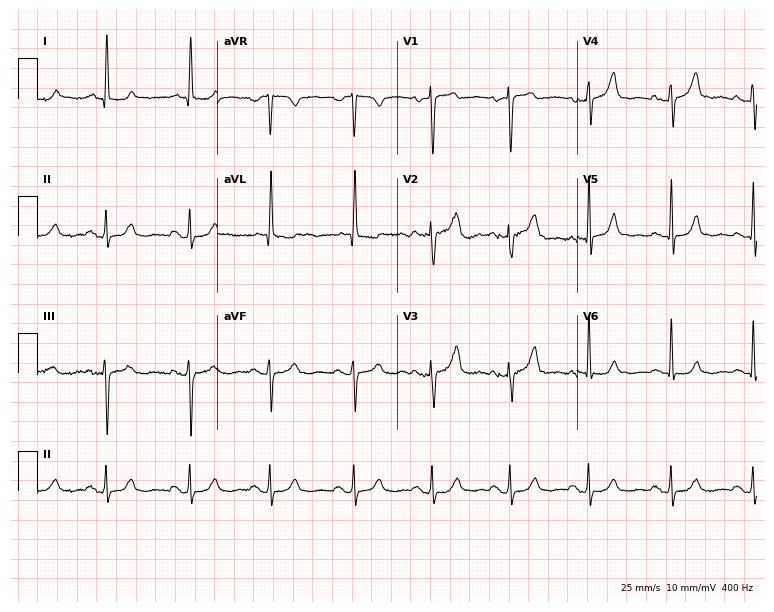
Resting 12-lead electrocardiogram (7.3-second recording at 400 Hz). Patient: a woman, 62 years old. None of these six findings is recorded: first-degree AV block, right bundle branch block (RBBB), left bundle branch block (LBBB), sinus bradycardia, atrial fibrillation (AF), sinus tachycardia.